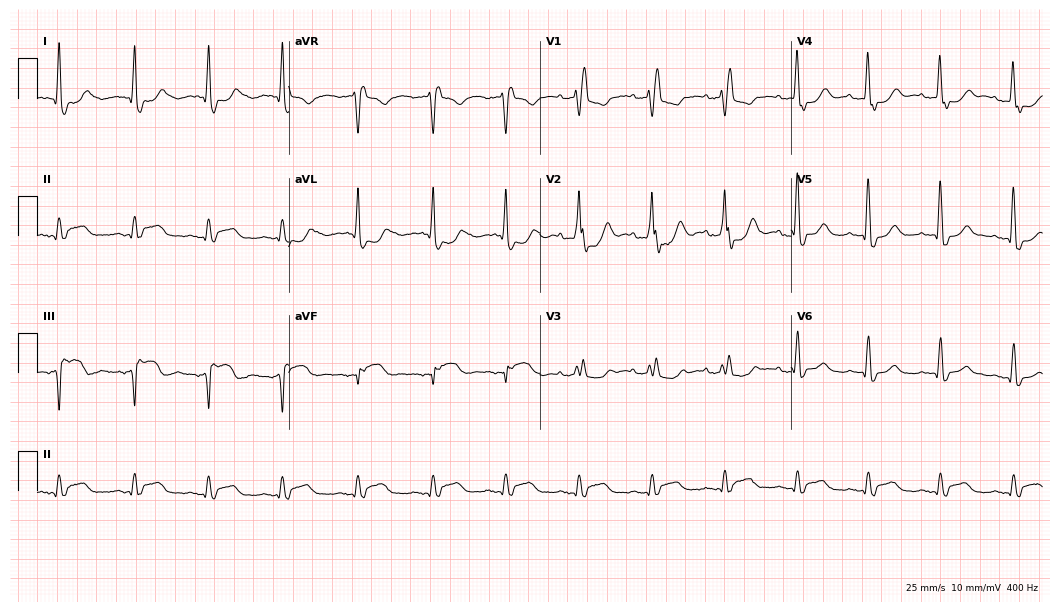
12-lead ECG from an 84-year-old man. Findings include right bundle branch block.